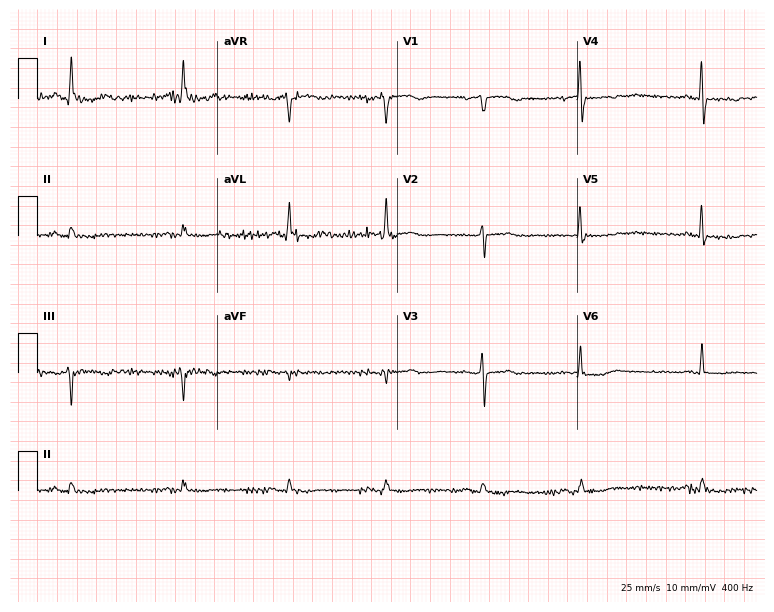
Electrocardiogram, a female patient, 74 years old. Of the six screened findings (first-degree AV block, right bundle branch block, left bundle branch block, sinus bradycardia, atrial fibrillation, sinus tachycardia), none is recorded.